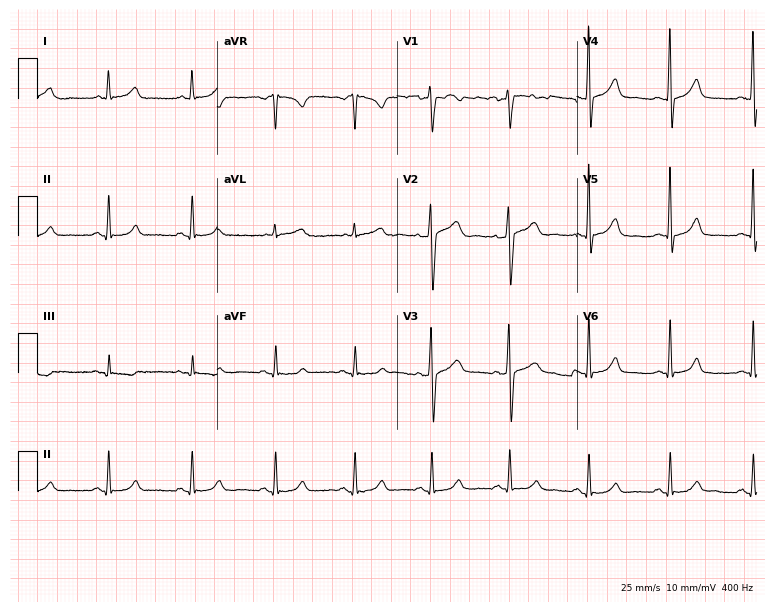
ECG (7.3-second recording at 400 Hz) — a 57-year-old man. Labelled as a normal ECG.